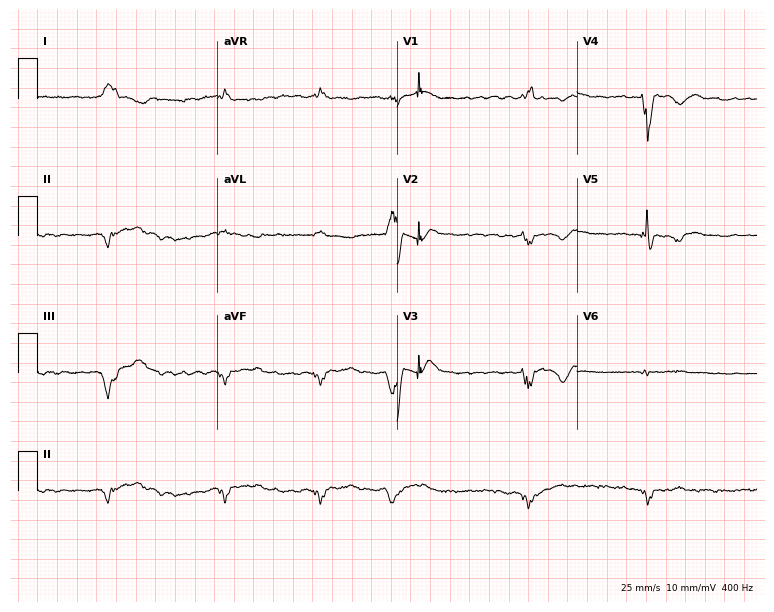
ECG — a male, 71 years old. Findings include right bundle branch block, atrial fibrillation.